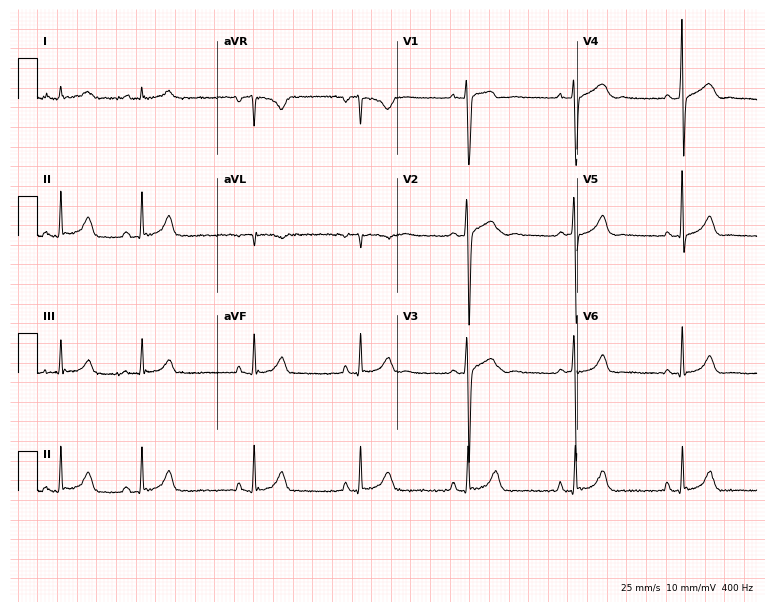
12-lead ECG from a male patient, 20 years old (7.3-second recording at 400 Hz). No first-degree AV block, right bundle branch block, left bundle branch block, sinus bradycardia, atrial fibrillation or sinus tachycardia recorded for this tracing.